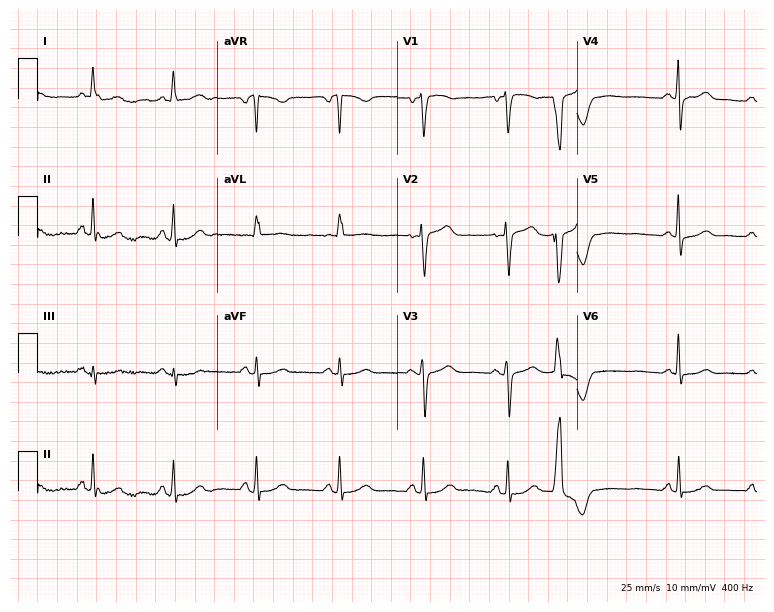
Electrocardiogram, a 68-year-old female. Of the six screened findings (first-degree AV block, right bundle branch block, left bundle branch block, sinus bradycardia, atrial fibrillation, sinus tachycardia), none is recorded. Only these six findings were labelled.